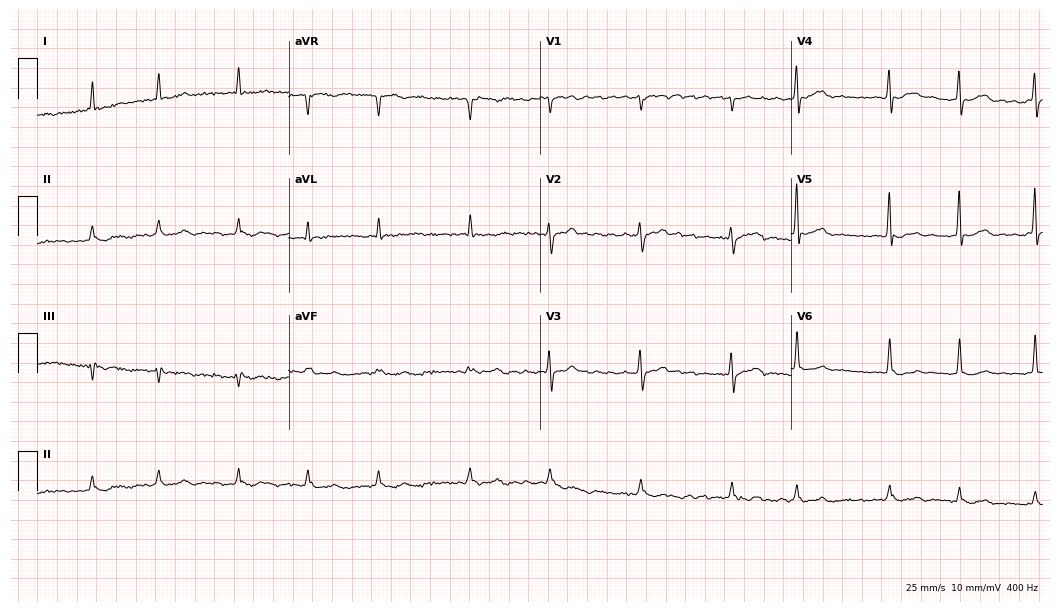
ECG (10.2-second recording at 400 Hz) — a 71-year-old male patient. Findings include atrial fibrillation.